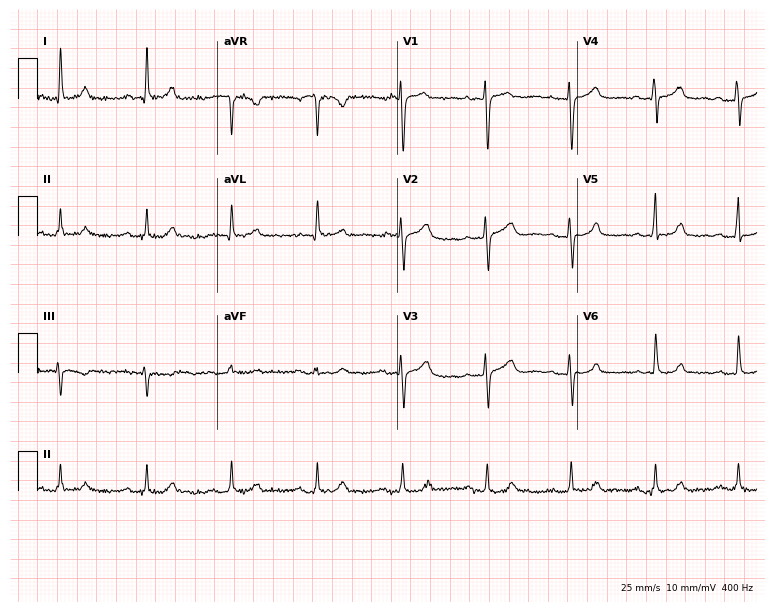
Standard 12-lead ECG recorded from a 62-year-old female (7.3-second recording at 400 Hz). Read as a normal ECG.